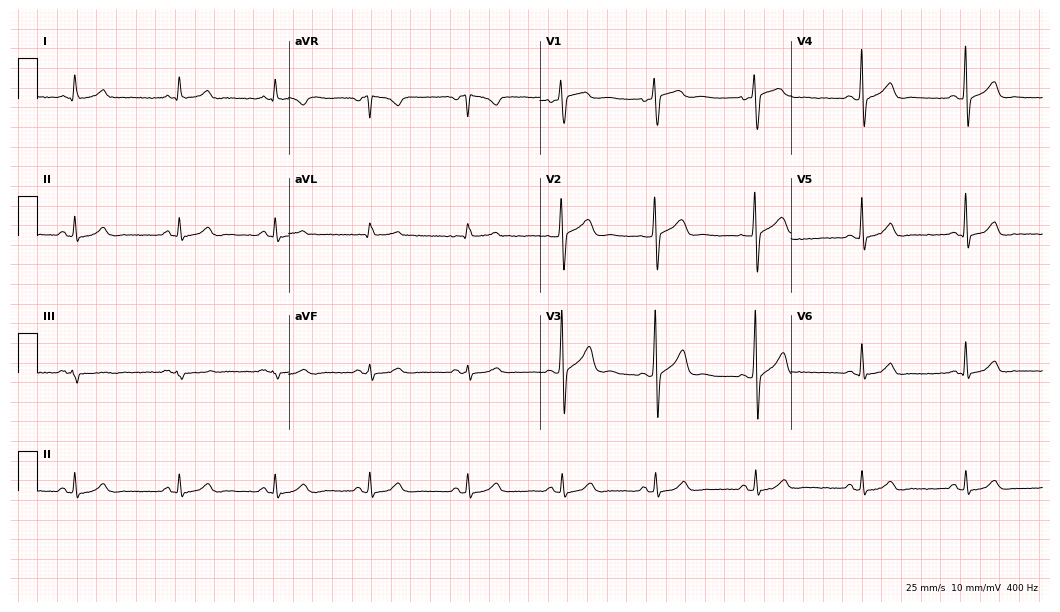
Electrocardiogram, a 51-year-old male. Overall reading on record: normal ECG.